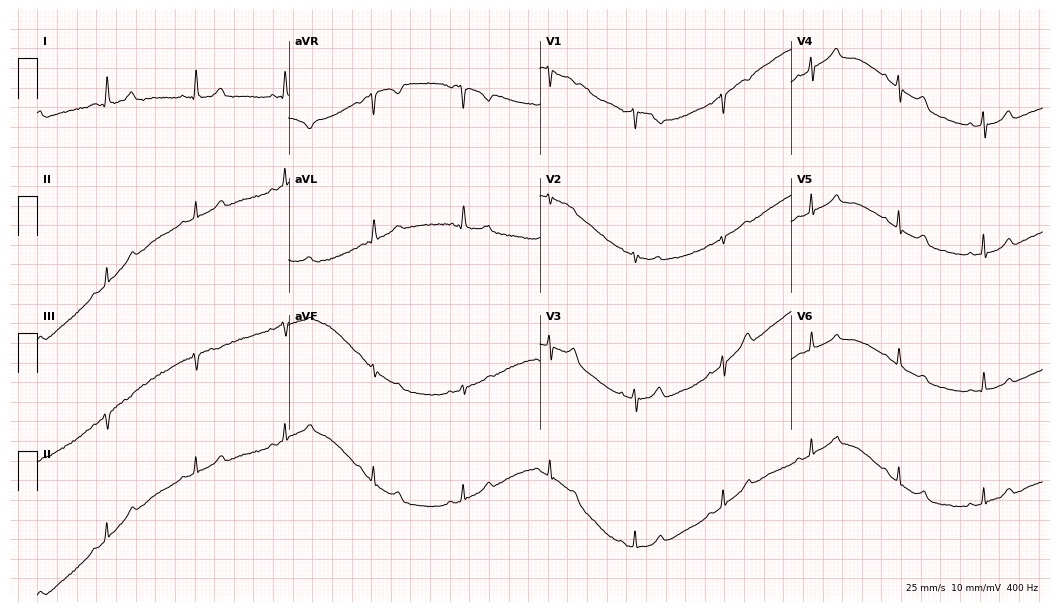
Standard 12-lead ECG recorded from a female patient, 61 years old. Read as a normal ECG.